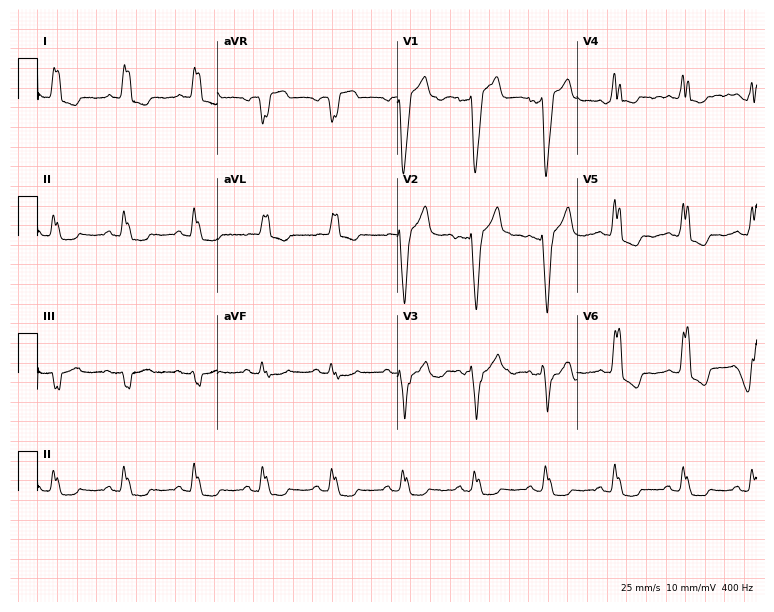
Electrocardiogram (7.3-second recording at 400 Hz), a 64-year-old man. Interpretation includes left bundle branch block.